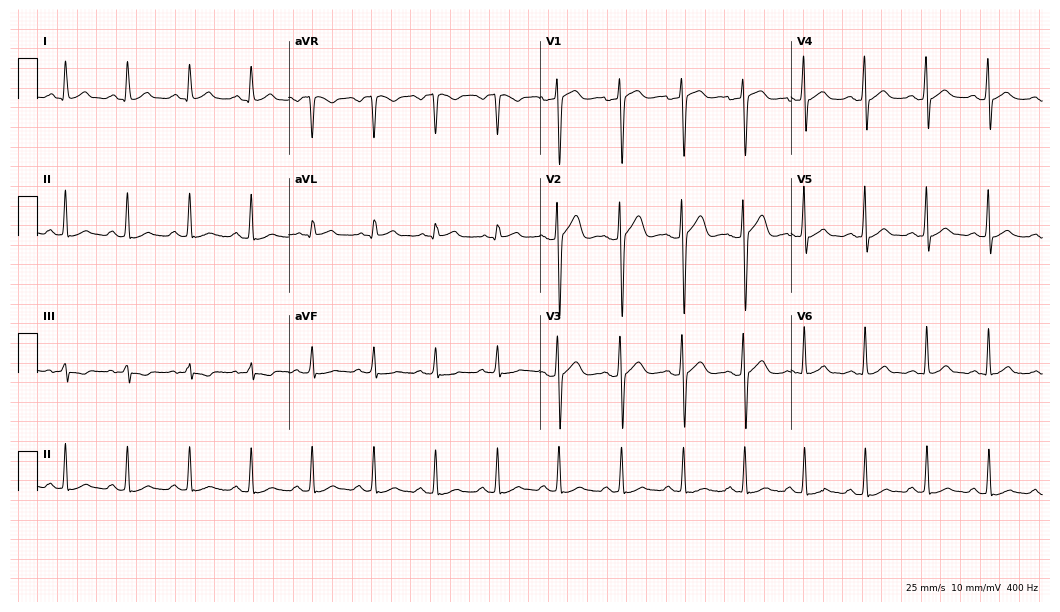
Resting 12-lead electrocardiogram (10.2-second recording at 400 Hz). Patient: a male, 43 years old. None of these six findings is recorded: first-degree AV block, right bundle branch block, left bundle branch block, sinus bradycardia, atrial fibrillation, sinus tachycardia.